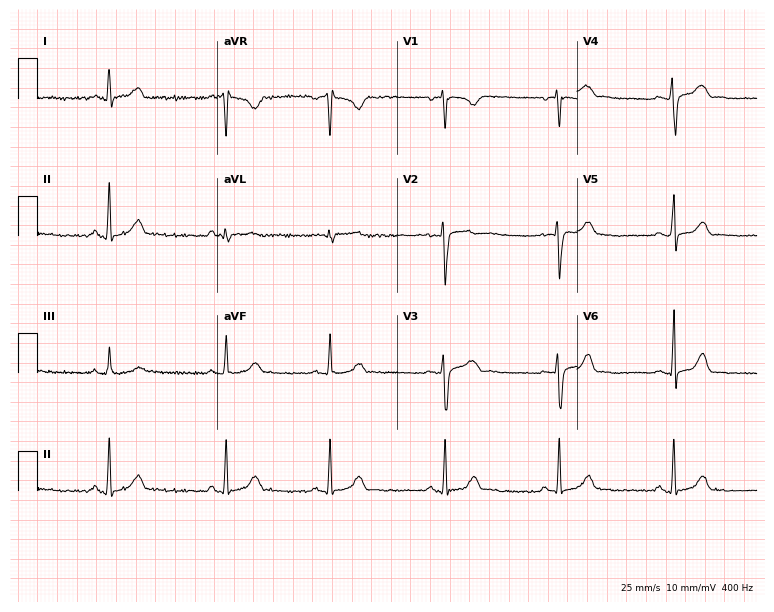
ECG (7.3-second recording at 400 Hz) — a female patient, 24 years old. Labelled as a normal ECG.